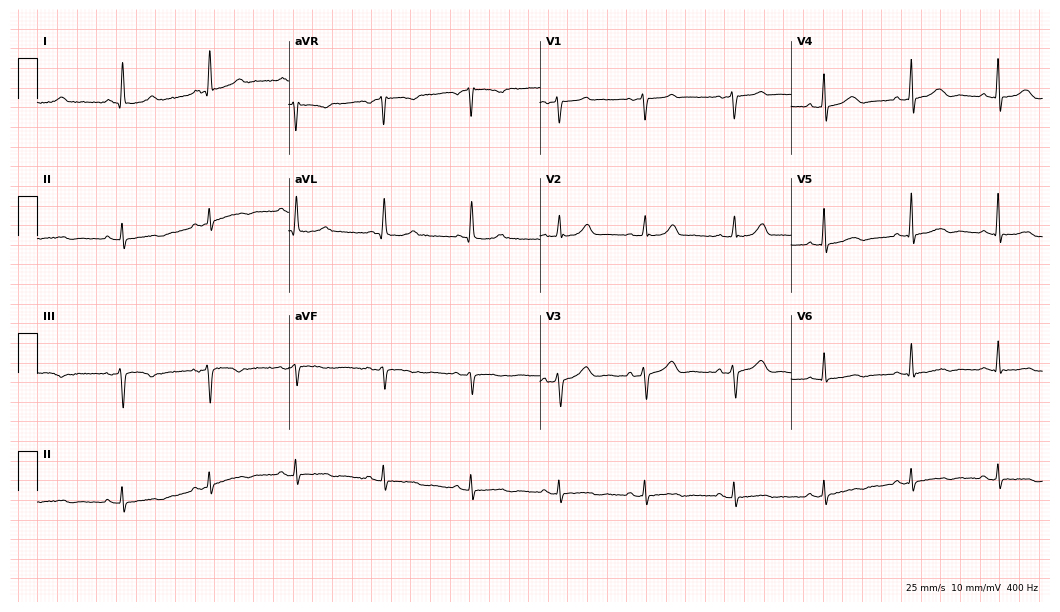
12-lead ECG (10.2-second recording at 400 Hz) from a woman, 60 years old. Labelled as a normal ECG.